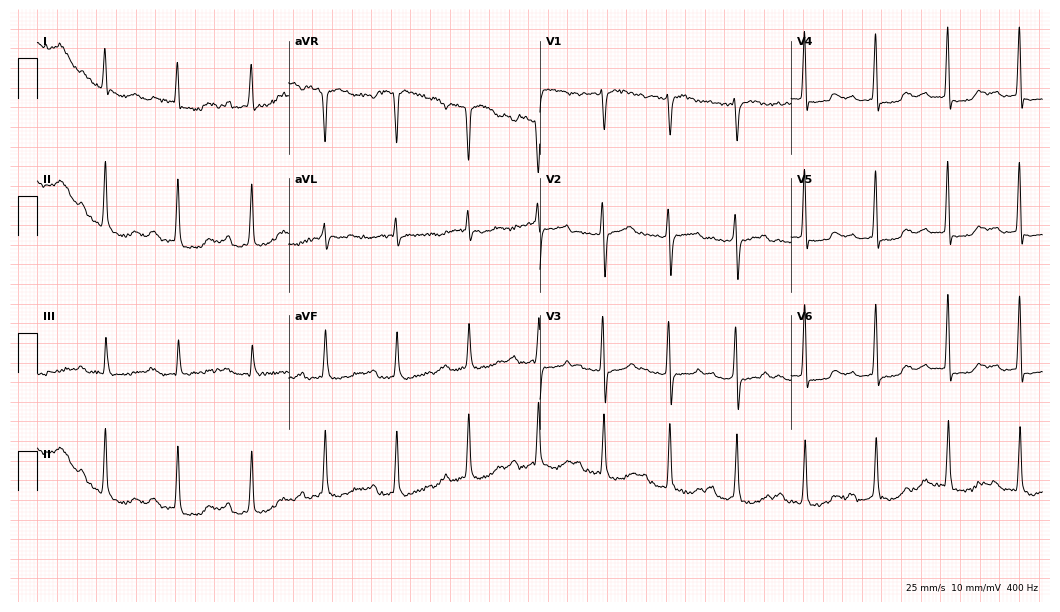
12-lead ECG (10.2-second recording at 400 Hz) from a female, 76 years old. Findings include first-degree AV block.